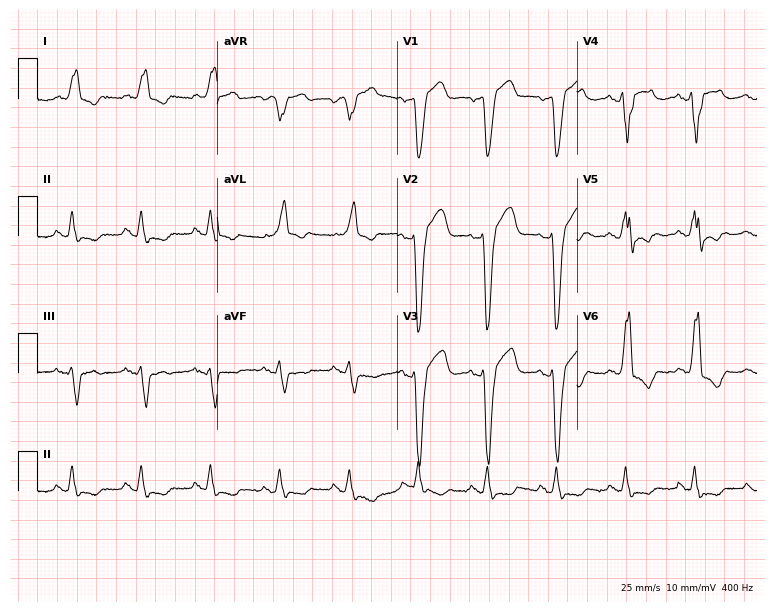
Standard 12-lead ECG recorded from a 74-year-old male patient. The tracing shows left bundle branch block.